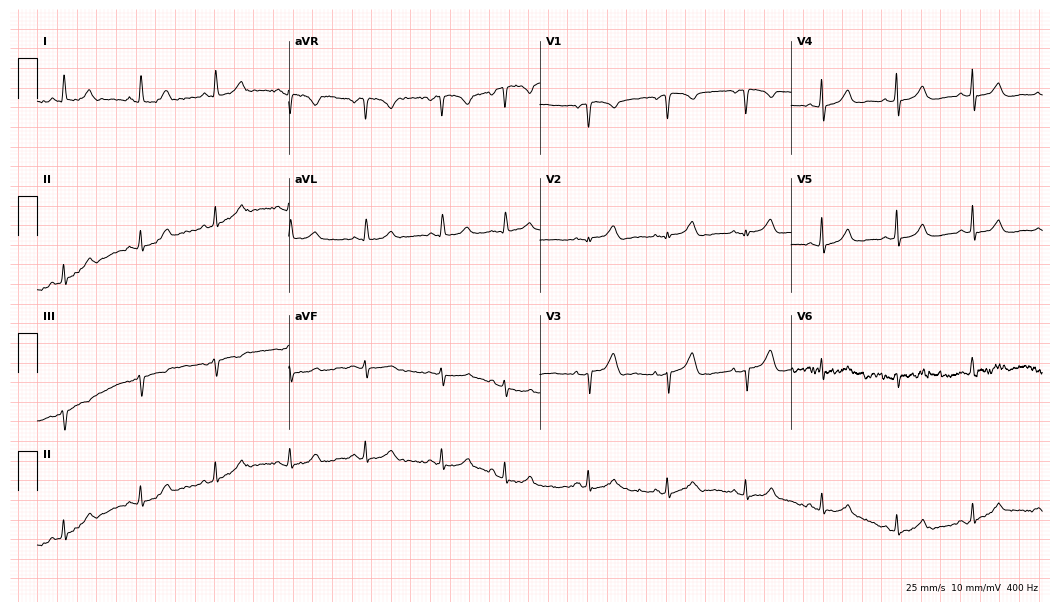
Resting 12-lead electrocardiogram (10.2-second recording at 400 Hz). Patient: a female, 61 years old. None of these six findings is recorded: first-degree AV block, right bundle branch block, left bundle branch block, sinus bradycardia, atrial fibrillation, sinus tachycardia.